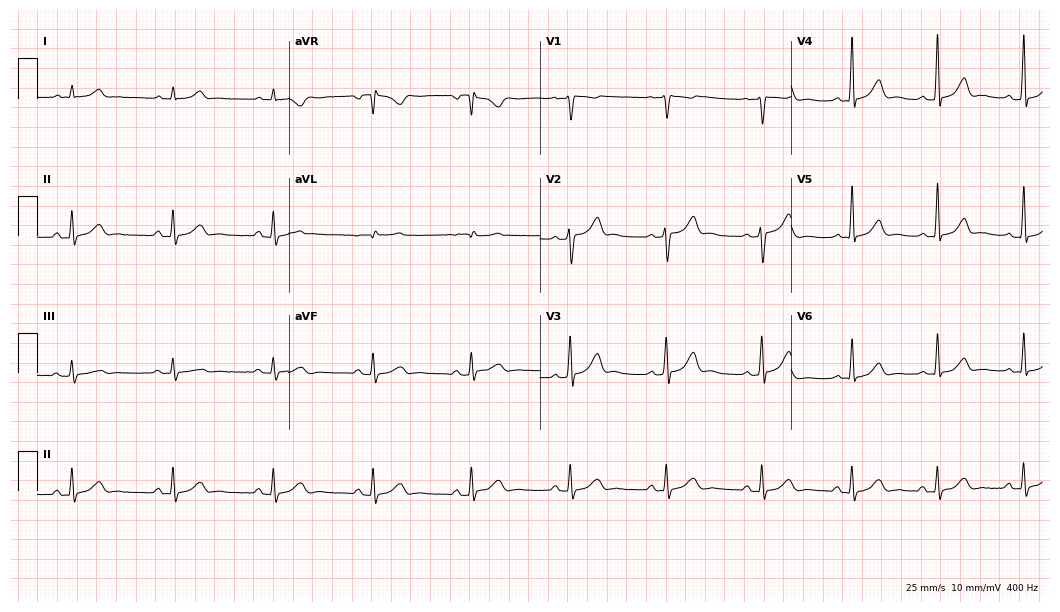
Resting 12-lead electrocardiogram (10.2-second recording at 400 Hz). Patient: a 55-year-old male. Read as a normal ECG.